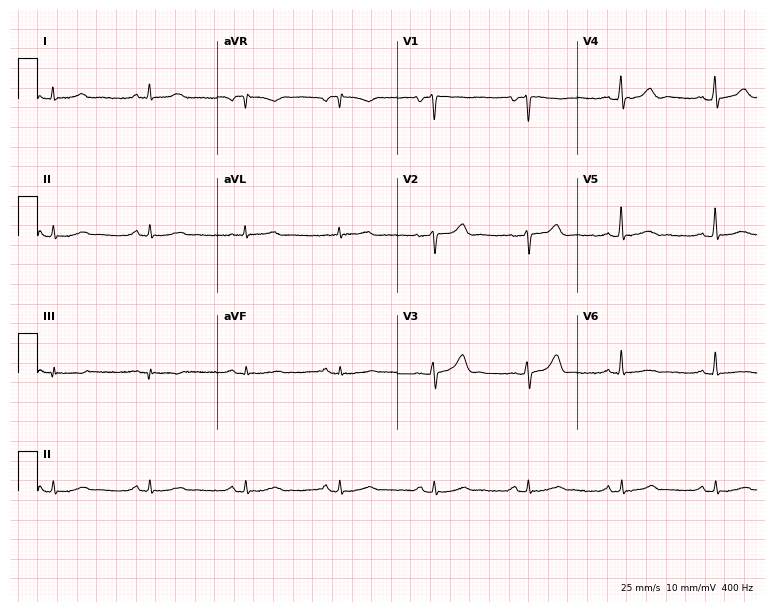
12-lead ECG from a 58-year-old man (7.3-second recording at 400 Hz). Recorded interpretation: within normal limits.